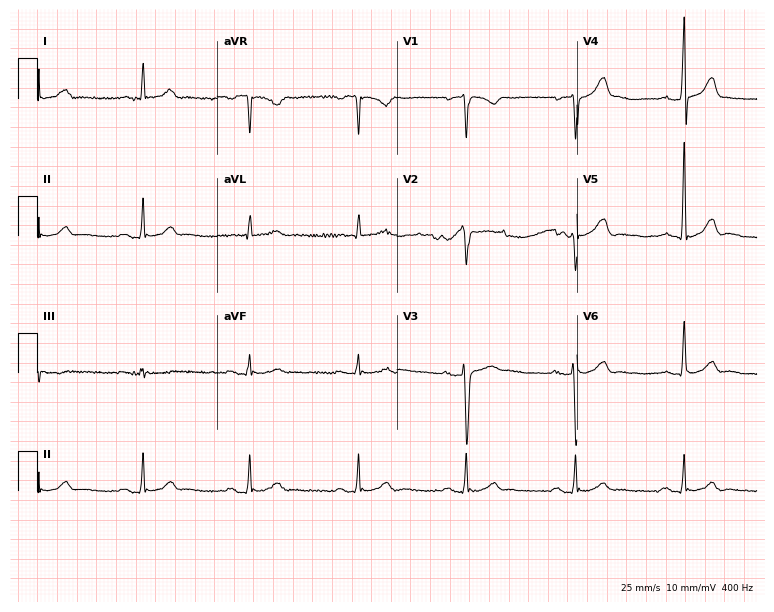
Resting 12-lead electrocardiogram. Patient: a 59-year-old male. Read as a normal ECG.